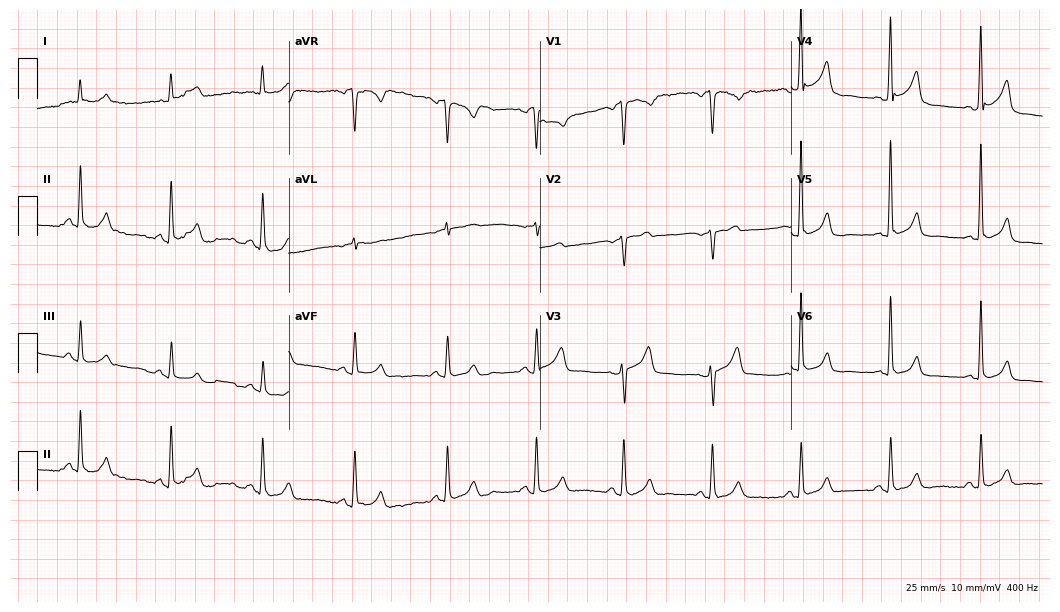
Standard 12-lead ECG recorded from a male, 57 years old. Read as a normal ECG.